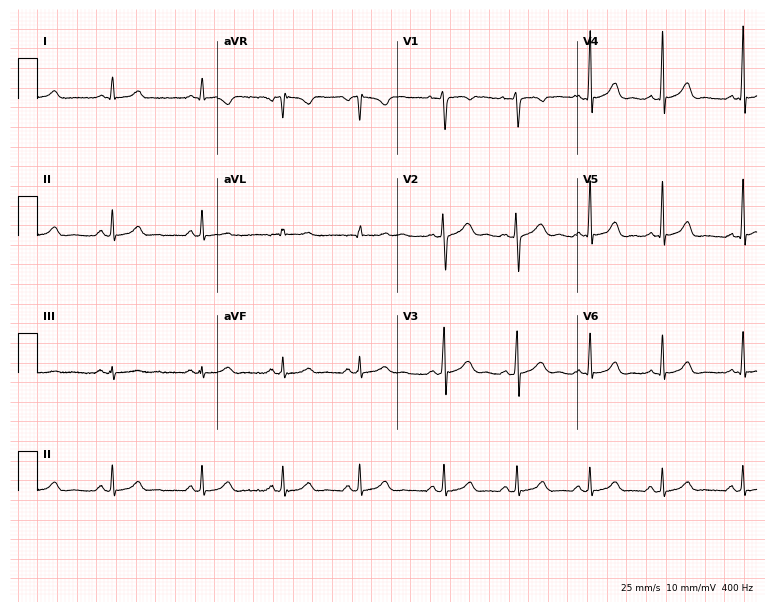
ECG (7.3-second recording at 400 Hz) — a 23-year-old woman. Labelled as a normal ECG.